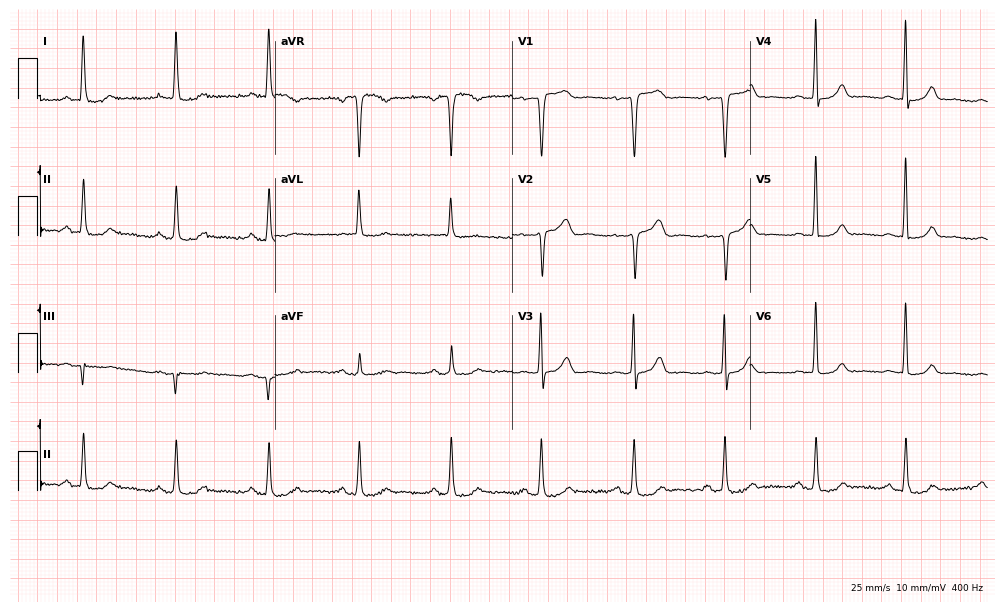
Standard 12-lead ECG recorded from a 64-year-old female patient (9.7-second recording at 400 Hz). Read as a normal ECG.